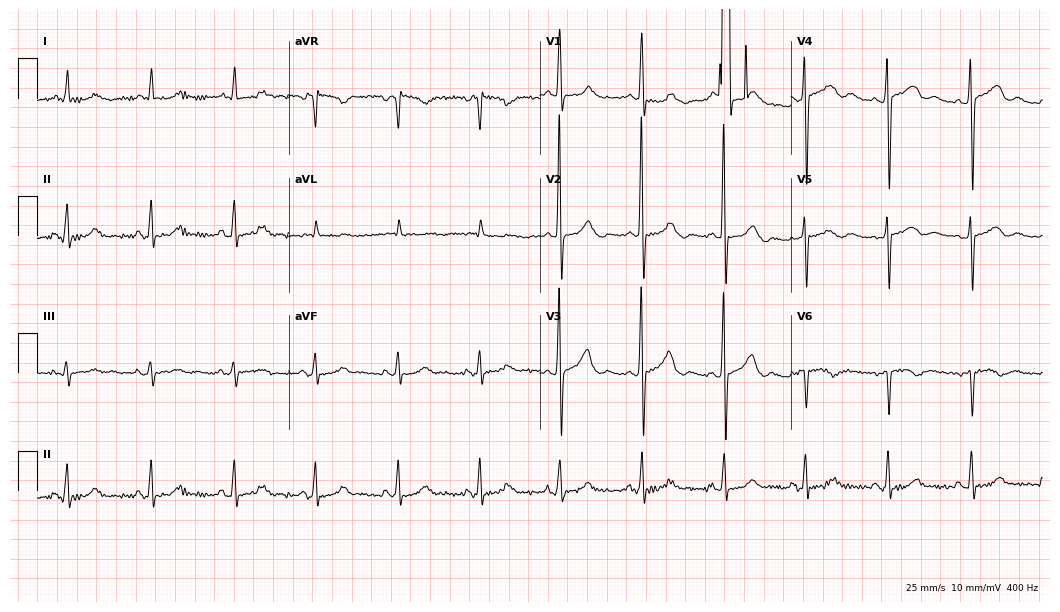
Resting 12-lead electrocardiogram (10.2-second recording at 400 Hz). Patient: an 82-year-old woman. None of these six findings is recorded: first-degree AV block, right bundle branch block, left bundle branch block, sinus bradycardia, atrial fibrillation, sinus tachycardia.